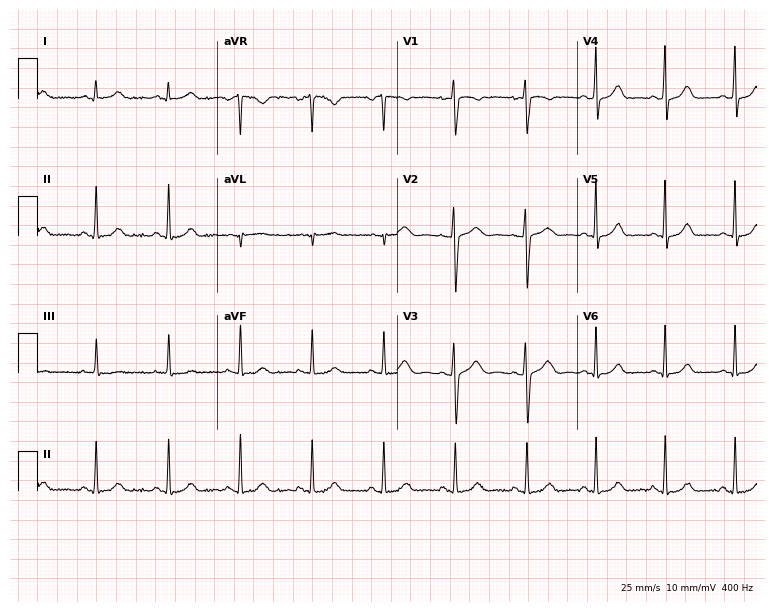
12-lead ECG from a 36-year-old female patient. Recorded interpretation: within normal limits.